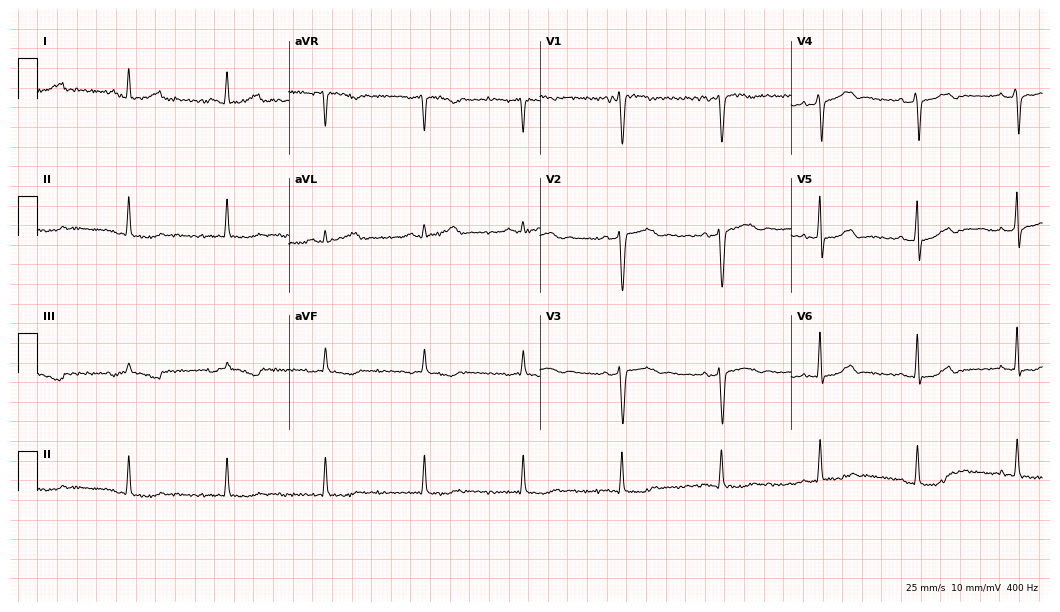
12-lead ECG (10.2-second recording at 400 Hz) from a 34-year-old woman. Screened for six findings — first-degree AV block, right bundle branch block, left bundle branch block, sinus bradycardia, atrial fibrillation, sinus tachycardia — none is recorded.